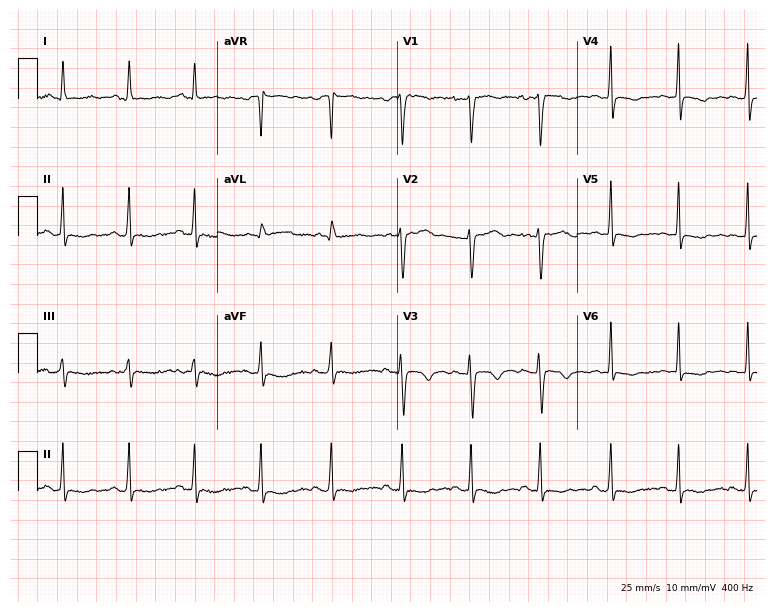
12-lead ECG from a female patient, 31 years old (7.3-second recording at 400 Hz). No first-degree AV block, right bundle branch block, left bundle branch block, sinus bradycardia, atrial fibrillation or sinus tachycardia recorded for this tracing. Findings outside these six are not listed.